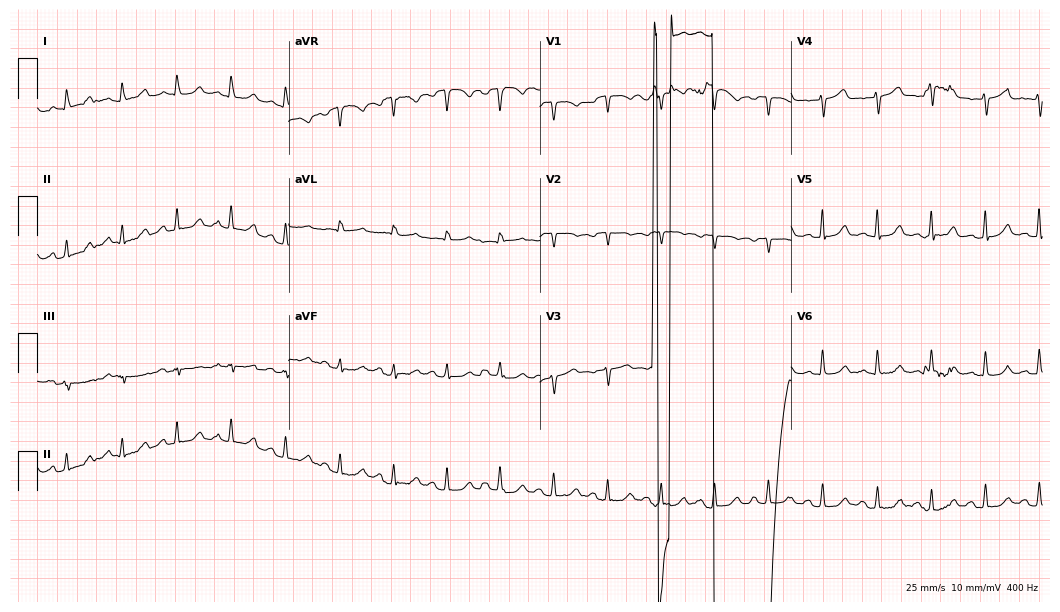
ECG — a woman, 56 years old. Screened for six findings — first-degree AV block, right bundle branch block (RBBB), left bundle branch block (LBBB), sinus bradycardia, atrial fibrillation (AF), sinus tachycardia — none is recorded. Findings outside these six are not listed.